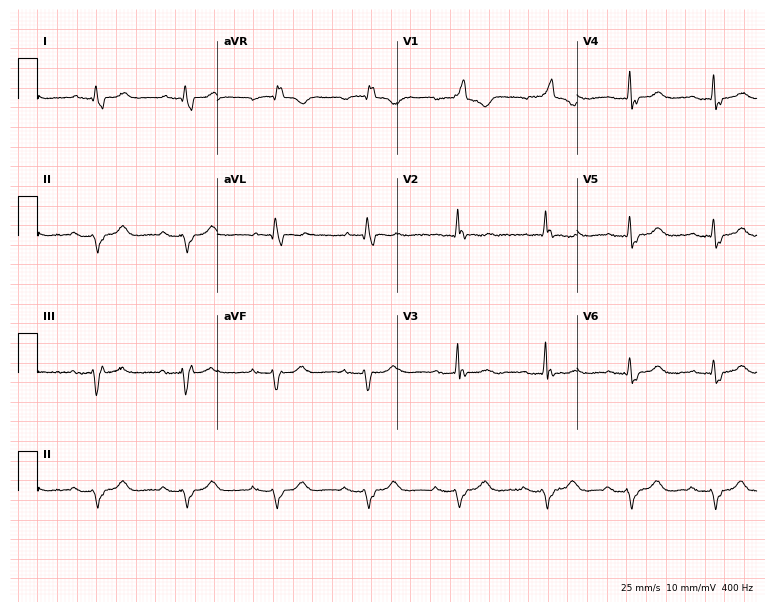
Electrocardiogram (7.3-second recording at 400 Hz), a man, 81 years old. Of the six screened findings (first-degree AV block, right bundle branch block (RBBB), left bundle branch block (LBBB), sinus bradycardia, atrial fibrillation (AF), sinus tachycardia), none is recorded.